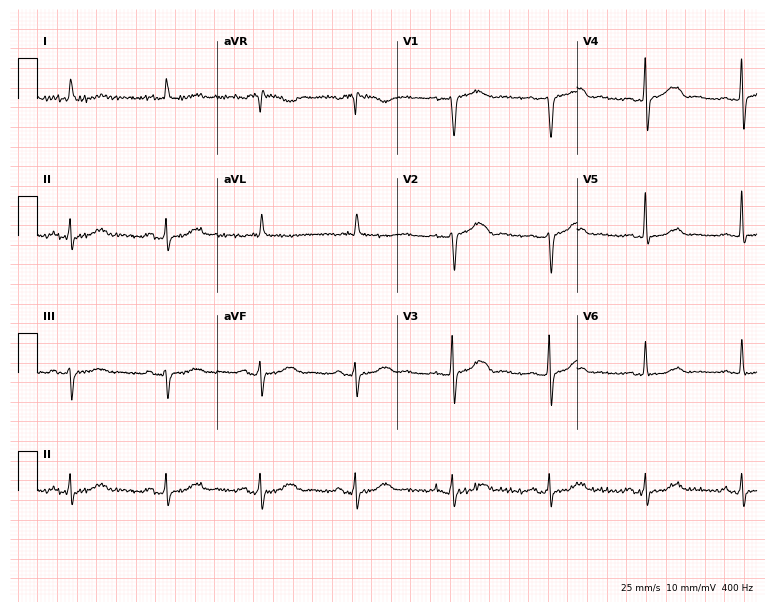
12-lead ECG (7.3-second recording at 400 Hz) from a woman, 84 years old. Screened for six findings — first-degree AV block, right bundle branch block, left bundle branch block, sinus bradycardia, atrial fibrillation, sinus tachycardia — none is recorded. Other findings, if any, are not listed.